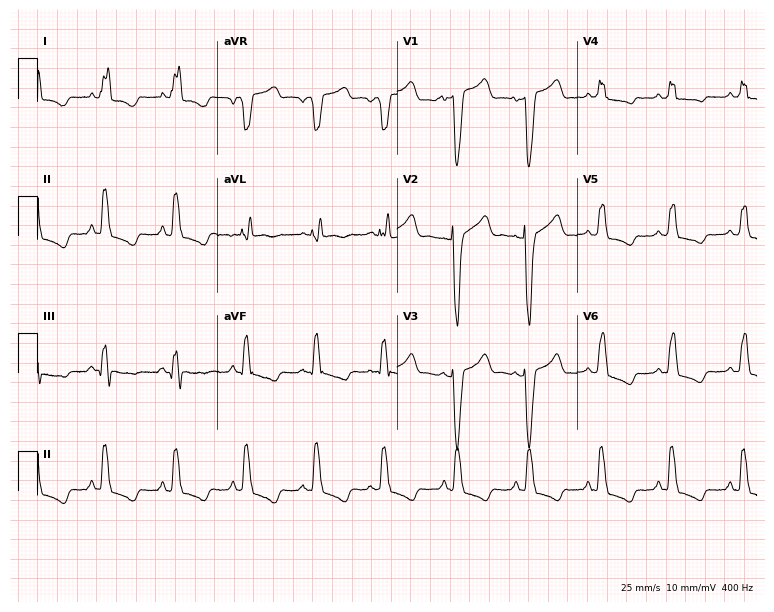
Standard 12-lead ECG recorded from a female, 87 years old (7.3-second recording at 400 Hz). The tracing shows left bundle branch block.